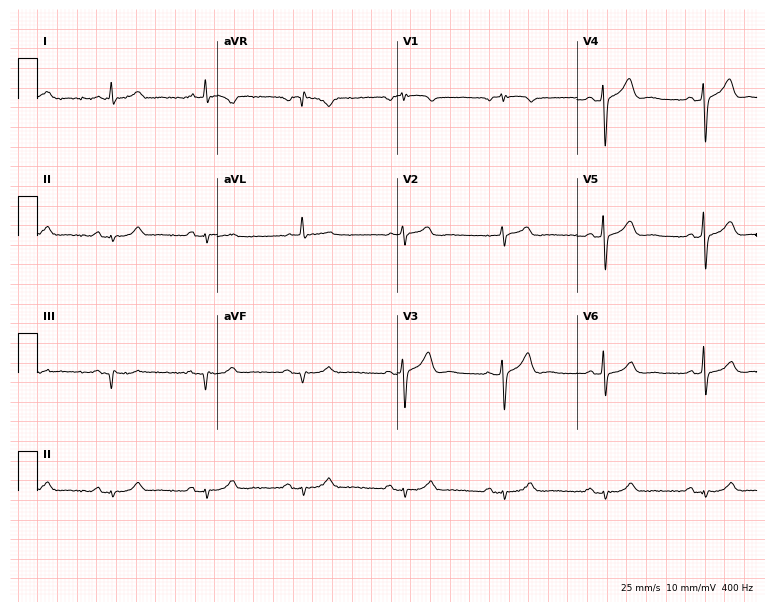
ECG (7.3-second recording at 400 Hz) — a 57-year-old male. Screened for six findings — first-degree AV block, right bundle branch block, left bundle branch block, sinus bradycardia, atrial fibrillation, sinus tachycardia — none is recorded.